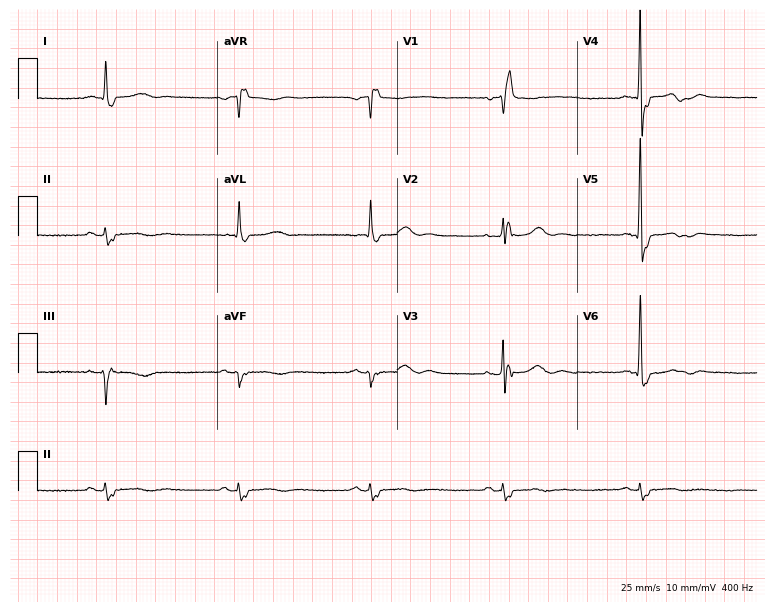
Resting 12-lead electrocardiogram (7.3-second recording at 400 Hz). Patient: a 72-year-old male. The tracing shows right bundle branch block.